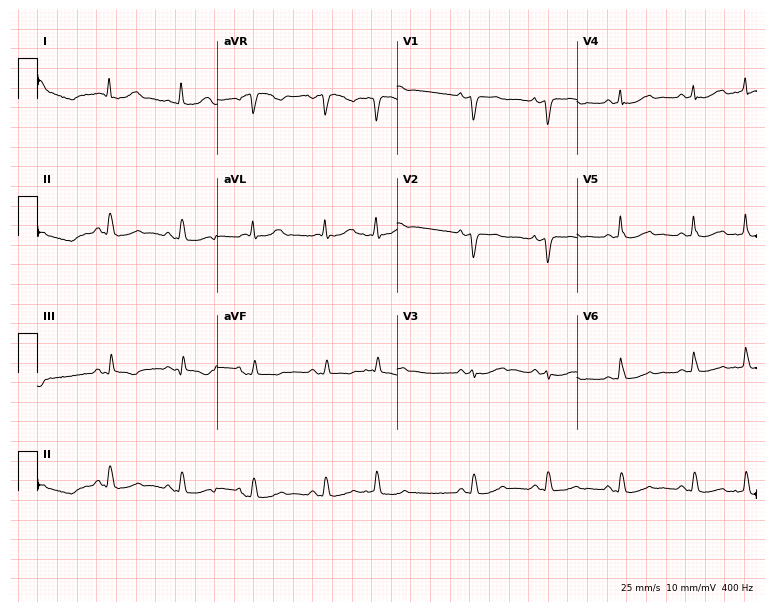
Electrocardiogram, a female patient, 82 years old. Of the six screened findings (first-degree AV block, right bundle branch block, left bundle branch block, sinus bradycardia, atrial fibrillation, sinus tachycardia), none is recorded. Other findings, if any, are not listed.